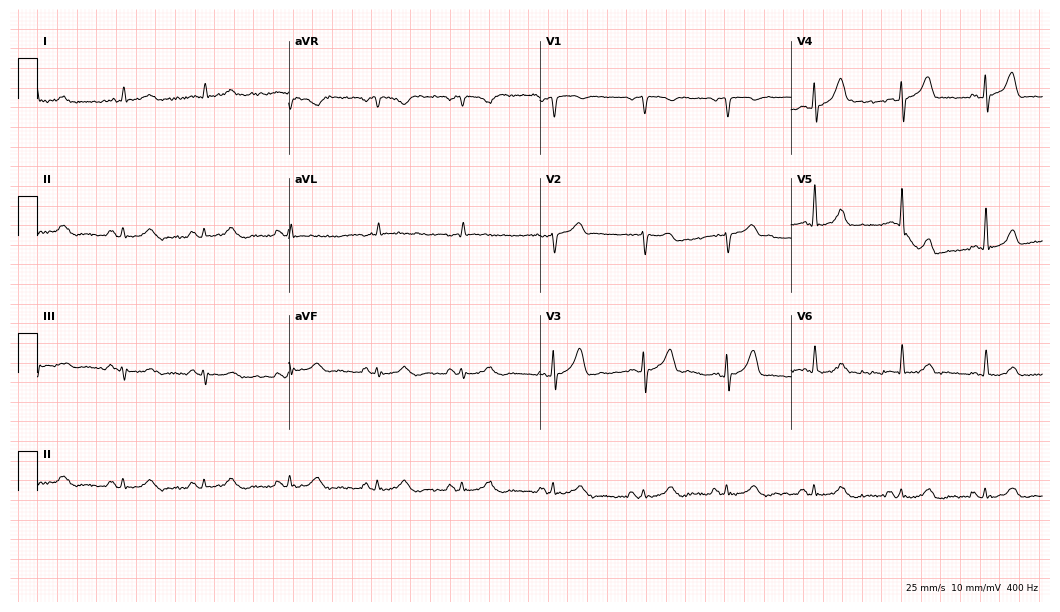
Resting 12-lead electrocardiogram. Patient: a male, 63 years old. Read as a normal ECG.